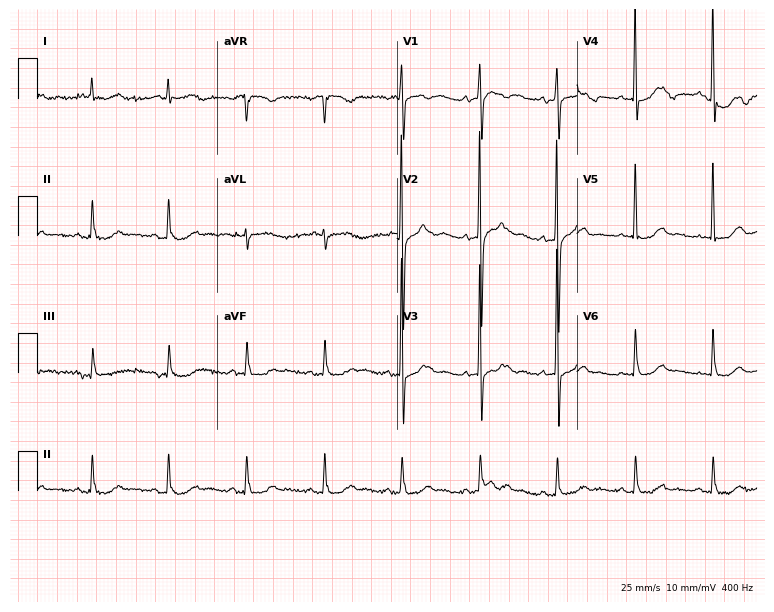
12-lead ECG from an 84-year-old female (7.3-second recording at 400 Hz). Recorded interpretation: within normal limits.